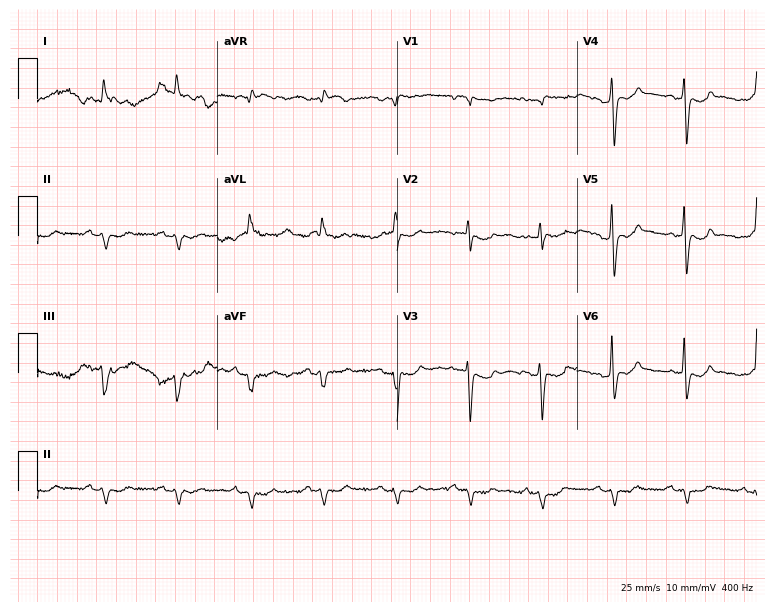
Standard 12-lead ECG recorded from a female patient, 83 years old. None of these six findings is recorded: first-degree AV block, right bundle branch block, left bundle branch block, sinus bradycardia, atrial fibrillation, sinus tachycardia.